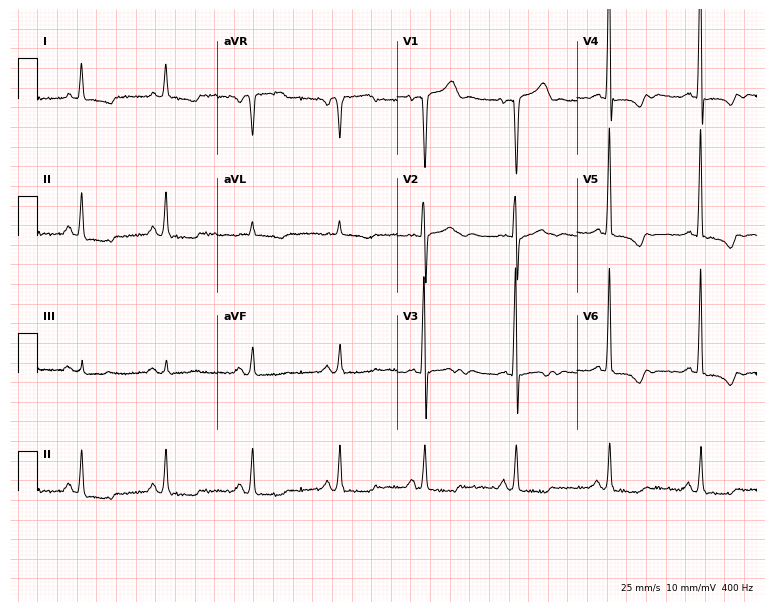
Standard 12-lead ECG recorded from a 65-year-old man. None of these six findings is recorded: first-degree AV block, right bundle branch block, left bundle branch block, sinus bradycardia, atrial fibrillation, sinus tachycardia. Other findings, if any, are not listed.